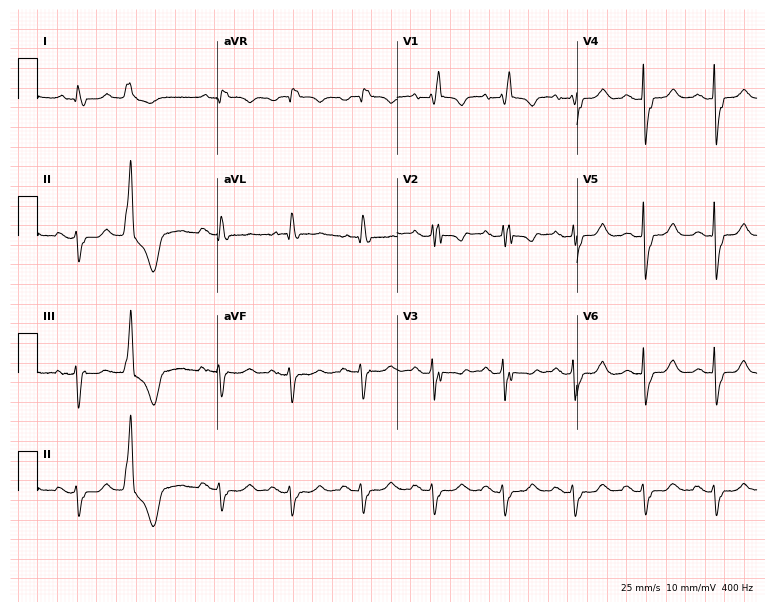
12-lead ECG from a female, 72 years old. Shows right bundle branch block.